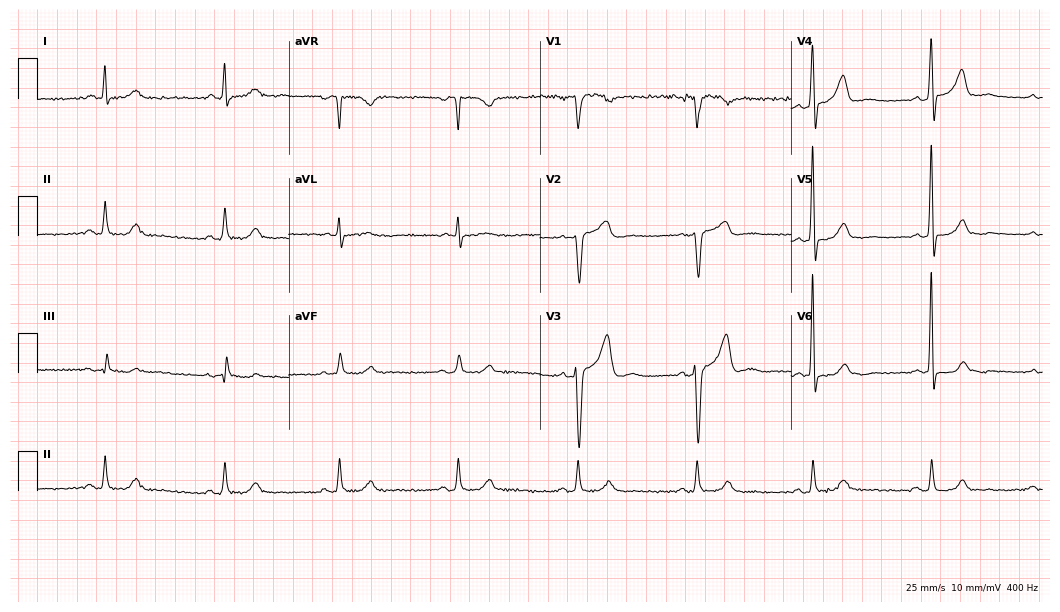
ECG (10.2-second recording at 400 Hz) — a male patient, 51 years old. Findings include sinus bradycardia (a sinus rate of 50 beats per minute or less).